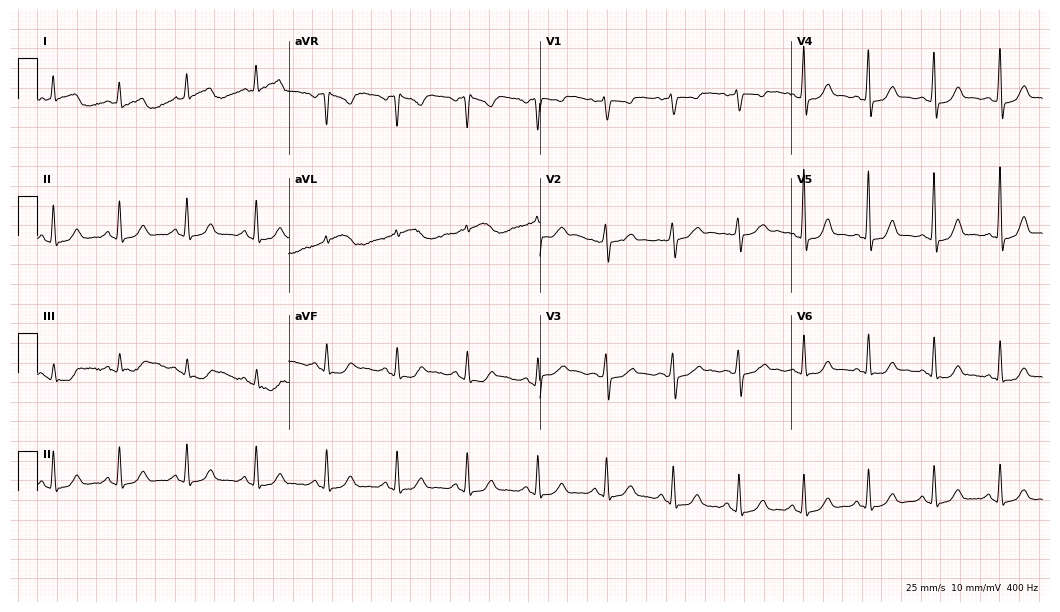
Electrocardiogram, a 49-year-old female. Overall reading on record: normal ECG.